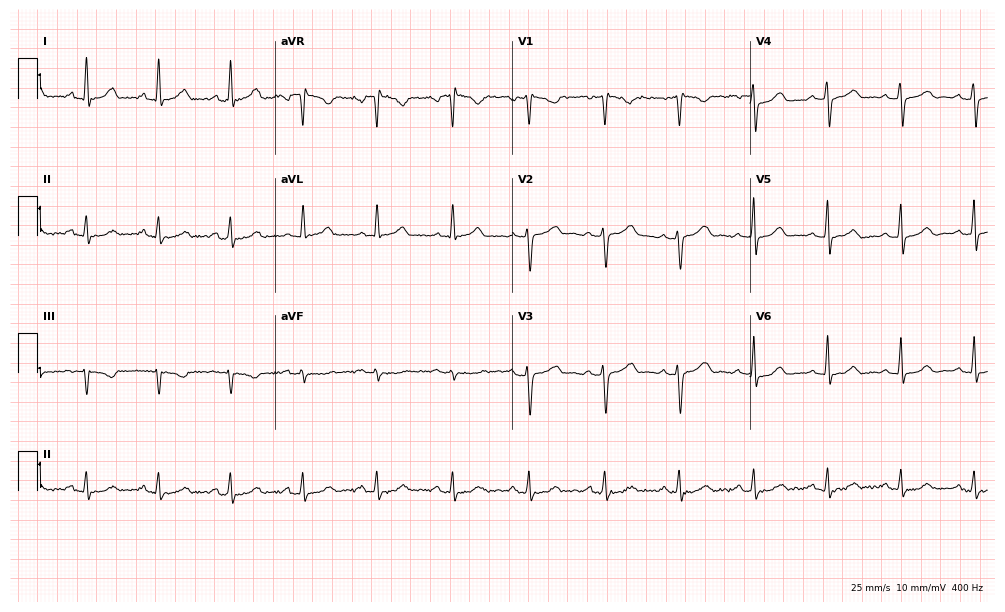
Resting 12-lead electrocardiogram. Patient: a woman, 23 years old. Read as a normal ECG.